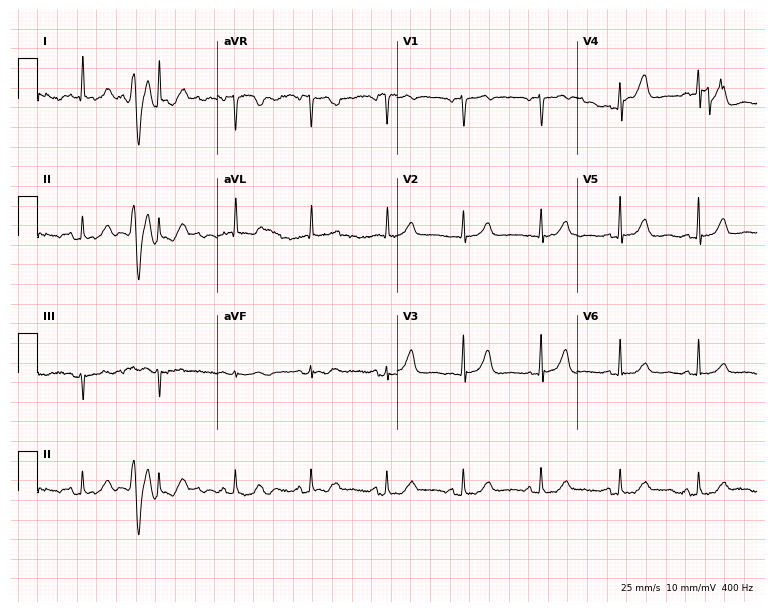
12-lead ECG from a 74-year-old woman (7.3-second recording at 400 Hz). No first-degree AV block, right bundle branch block, left bundle branch block, sinus bradycardia, atrial fibrillation or sinus tachycardia recorded for this tracing.